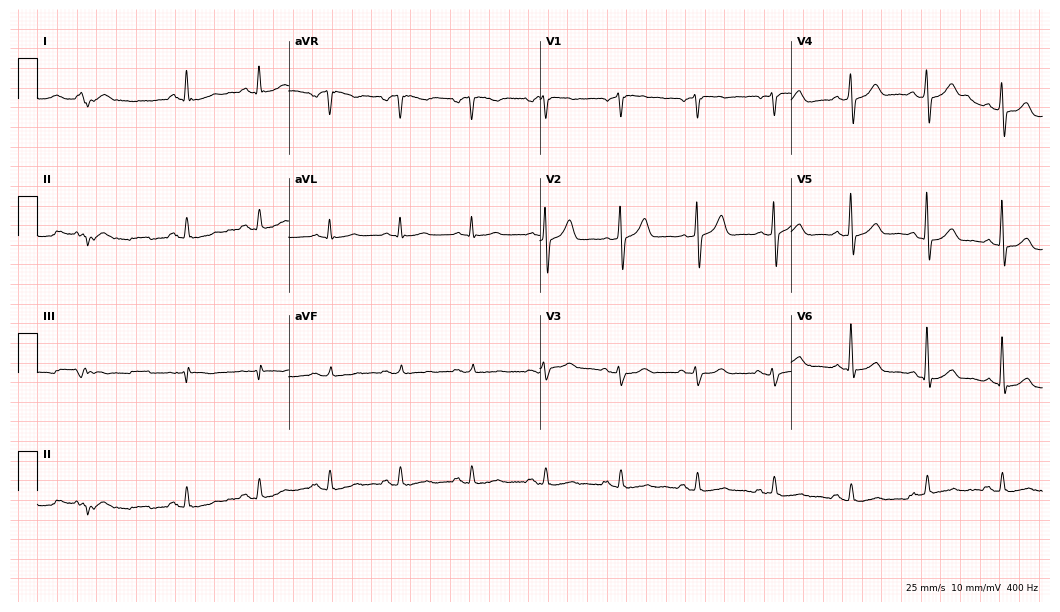
Electrocardiogram (10.2-second recording at 400 Hz), a 66-year-old male. Of the six screened findings (first-degree AV block, right bundle branch block, left bundle branch block, sinus bradycardia, atrial fibrillation, sinus tachycardia), none is recorded.